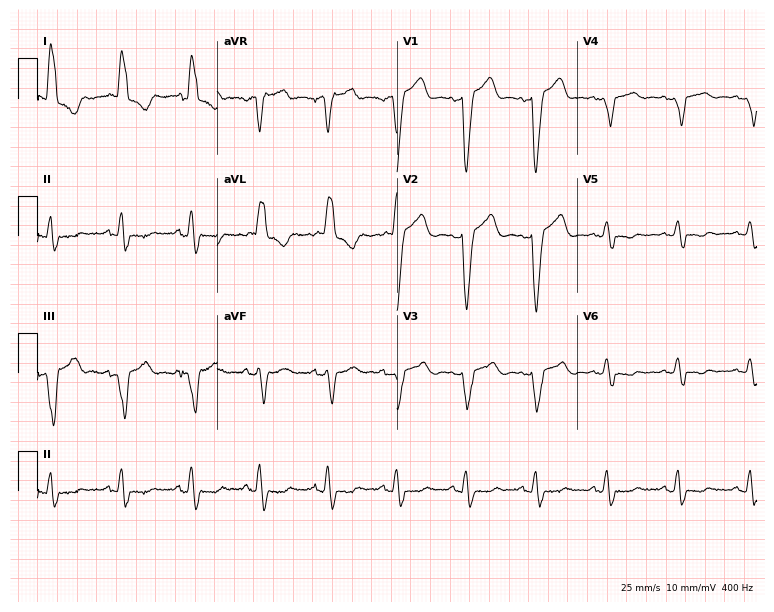
Resting 12-lead electrocardiogram (7.3-second recording at 400 Hz). Patient: a 76-year-old female. The tracing shows left bundle branch block (LBBB).